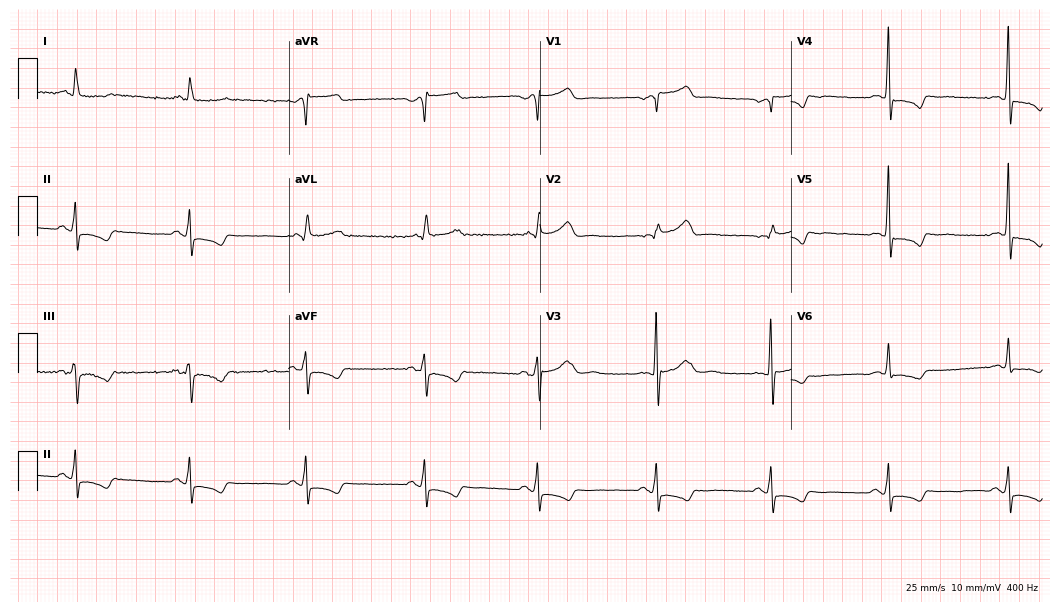
12-lead ECG (10.2-second recording at 400 Hz) from a male patient, 68 years old. Findings include sinus bradycardia (a sinus rate of 50 beats per minute or less).